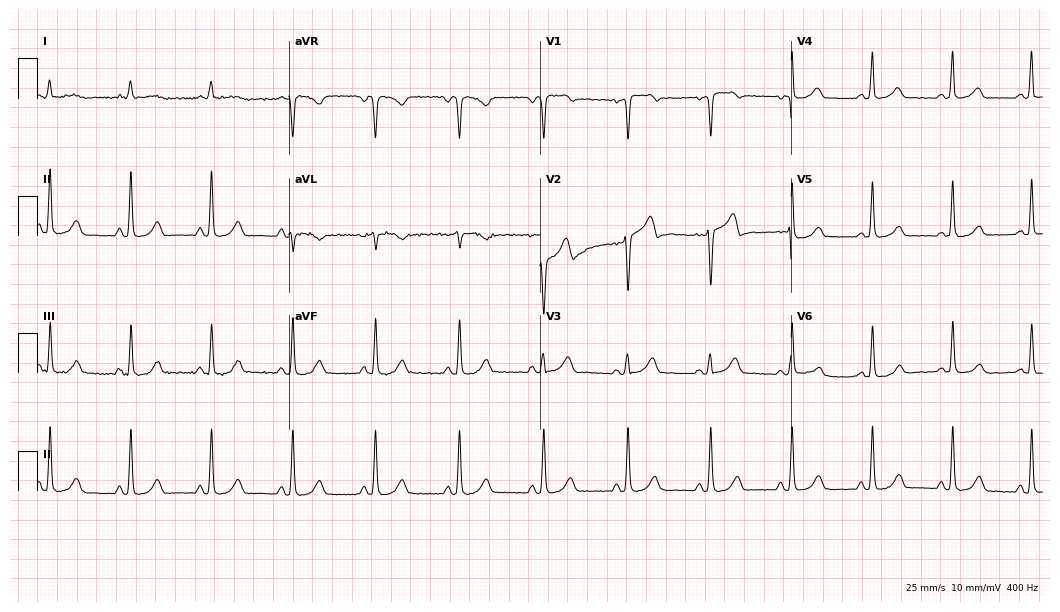
12-lead ECG from a female patient, 53 years old (10.2-second recording at 400 Hz). Recorded interpretation: within normal limits.